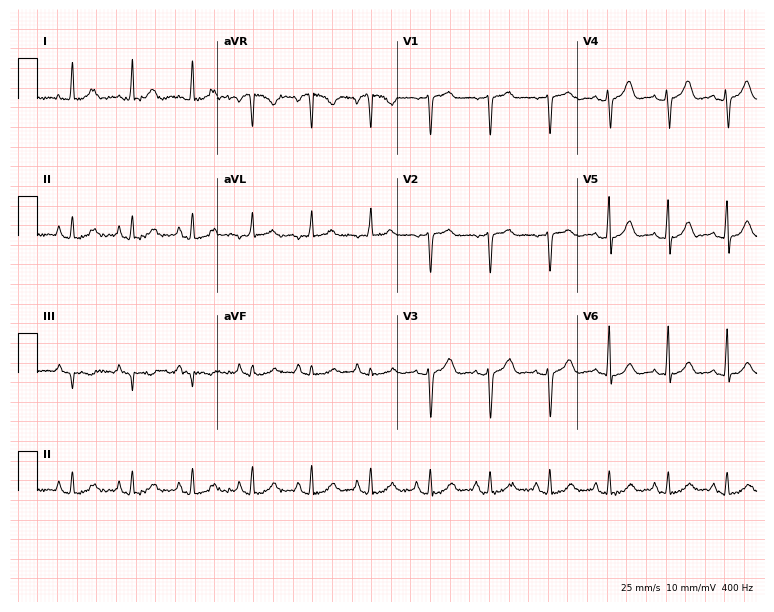
Electrocardiogram (7.3-second recording at 400 Hz), a 72-year-old woman. Of the six screened findings (first-degree AV block, right bundle branch block, left bundle branch block, sinus bradycardia, atrial fibrillation, sinus tachycardia), none is recorded. Only these six findings were labelled.